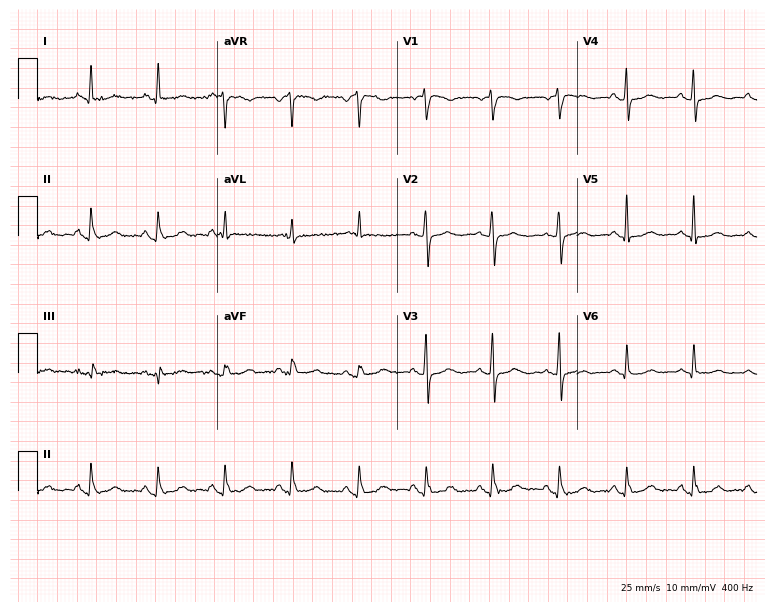
ECG — a female, 62 years old. Screened for six findings — first-degree AV block, right bundle branch block, left bundle branch block, sinus bradycardia, atrial fibrillation, sinus tachycardia — none is recorded. Other findings, if any, are not listed.